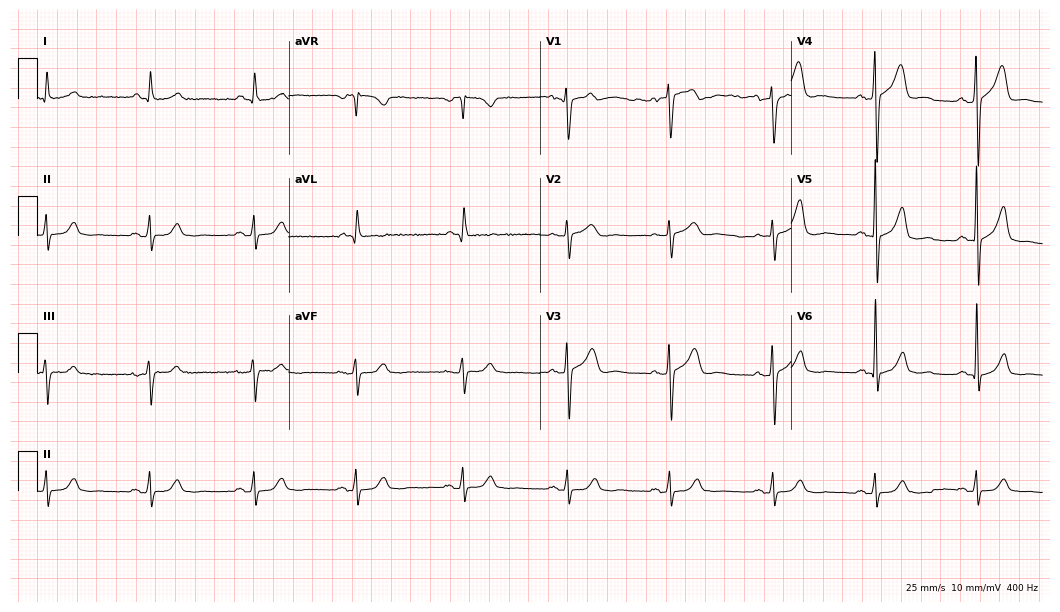
12-lead ECG from a male patient, 63 years old (10.2-second recording at 400 Hz). No first-degree AV block, right bundle branch block, left bundle branch block, sinus bradycardia, atrial fibrillation or sinus tachycardia recorded for this tracing. Other findings, if any, are not listed.